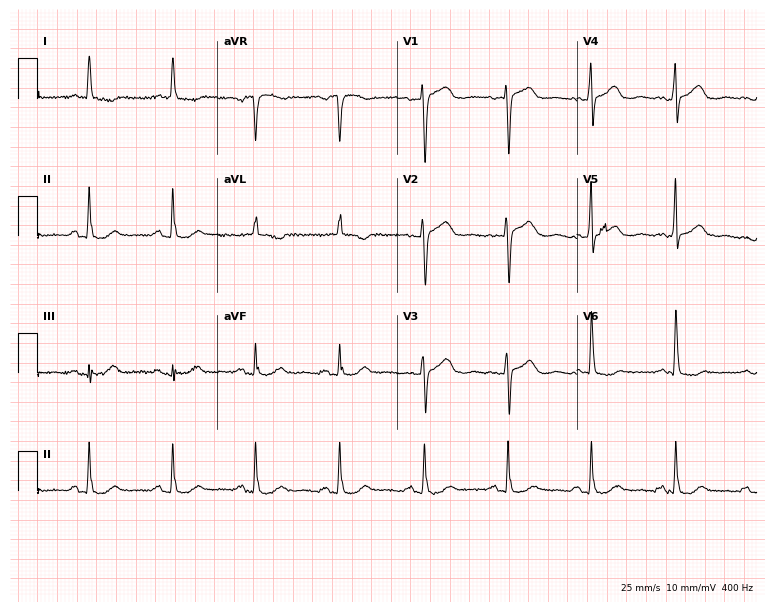
Electrocardiogram, a 74-year-old female. Of the six screened findings (first-degree AV block, right bundle branch block (RBBB), left bundle branch block (LBBB), sinus bradycardia, atrial fibrillation (AF), sinus tachycardia), none is recorded.